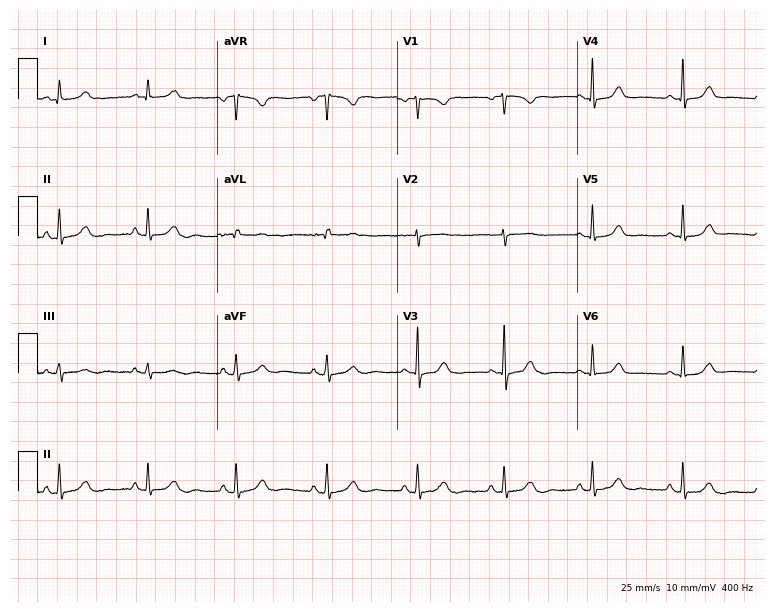
12-lead ECG from a female, 40 years old (7.3-second recording at 400 Hz). Recorded interpretation: within normal limits.